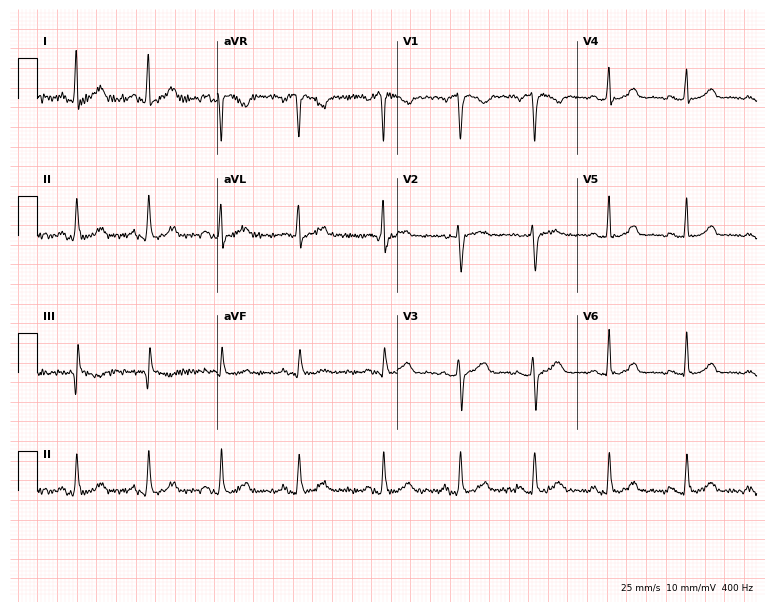
Electrocardiogram (7.3-second recording at 400 Hz), a female patient, 35 years old. Of the six screened findings (first-degree AV block, right bundle branch block, left bundle branch block, sinus bradycardia, atrial fibrillation, sinus tachycardia), none is recorded.